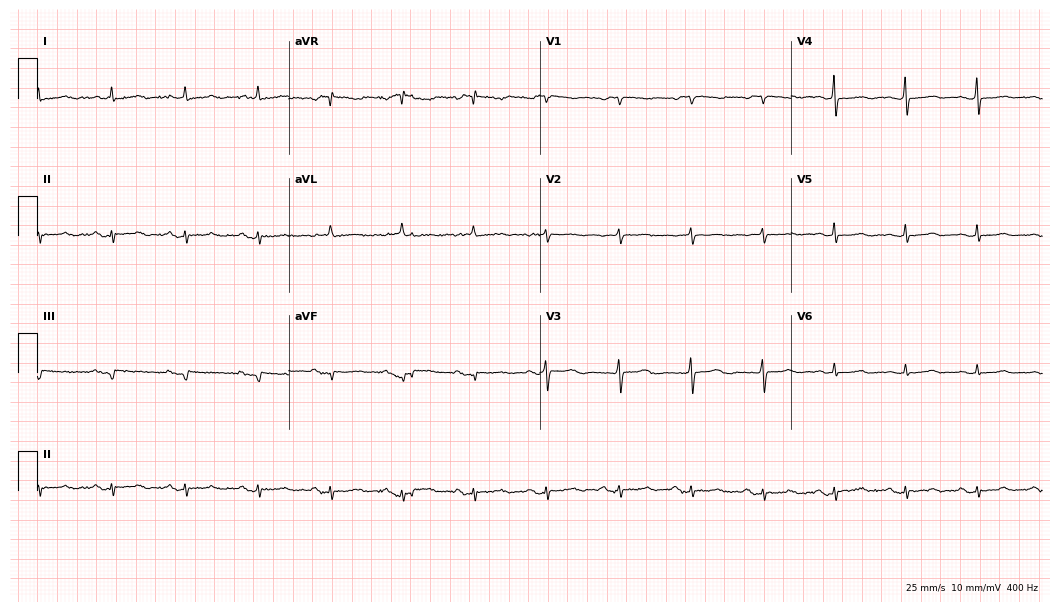
ECG — a female patient, 75 years old. Screened for six findings — first-degree AV block, right bundle branch block, left bundle branch block, sinus bradycardia, atrial fibrillation, sinus tachycardia — none is recorded.